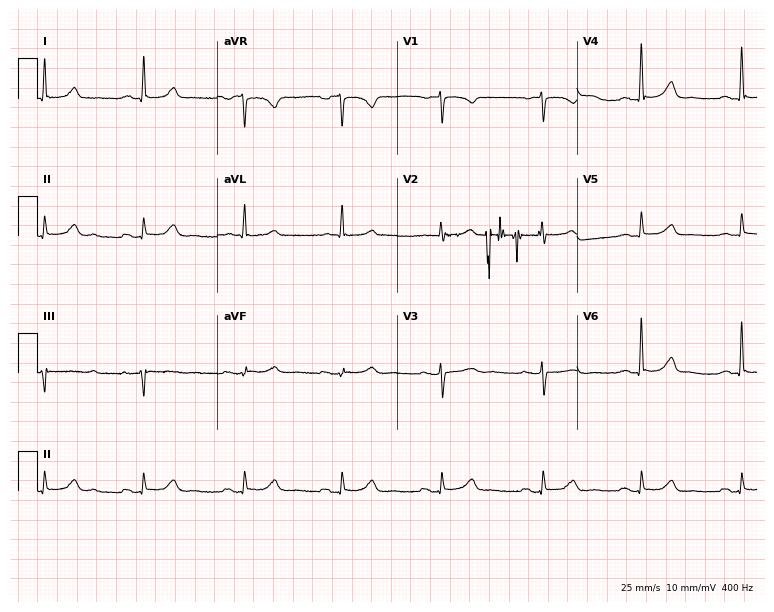
ECG (7.3-second recording at 400 Hz) — a 69-year-old female patient. Labelled as a normal ECG.